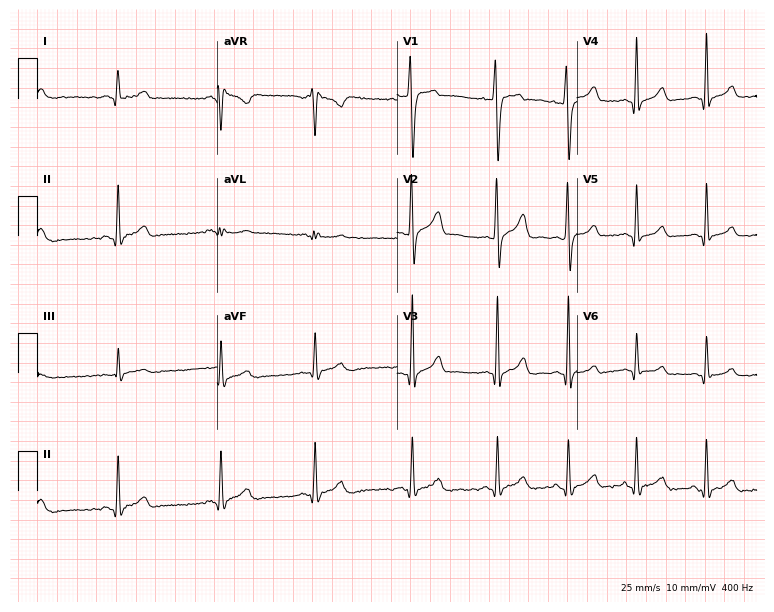
12-lead ECG from a male patient, 21 years old. Screened for six findings — first-degree AV block, right bundle branch block, left bundle branch block, sinus bradycardia, atrial fibrillation, sinus tachycardia — none is recorded. Findings outside these six are not listed.